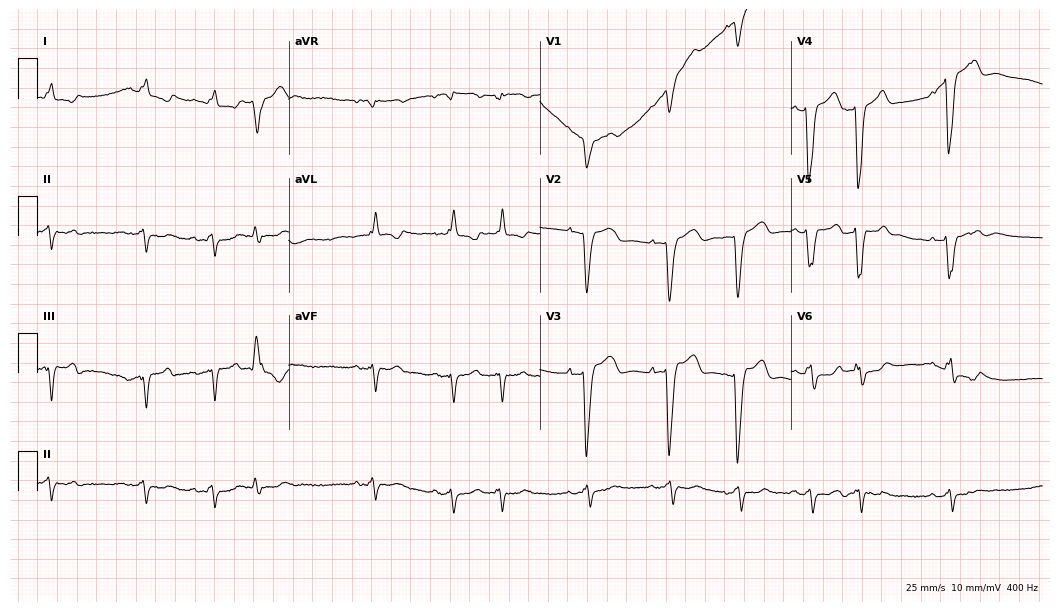
12-lead ECG from a female, 74 years old. Shows left bundle branch block, atrial fibrillation.